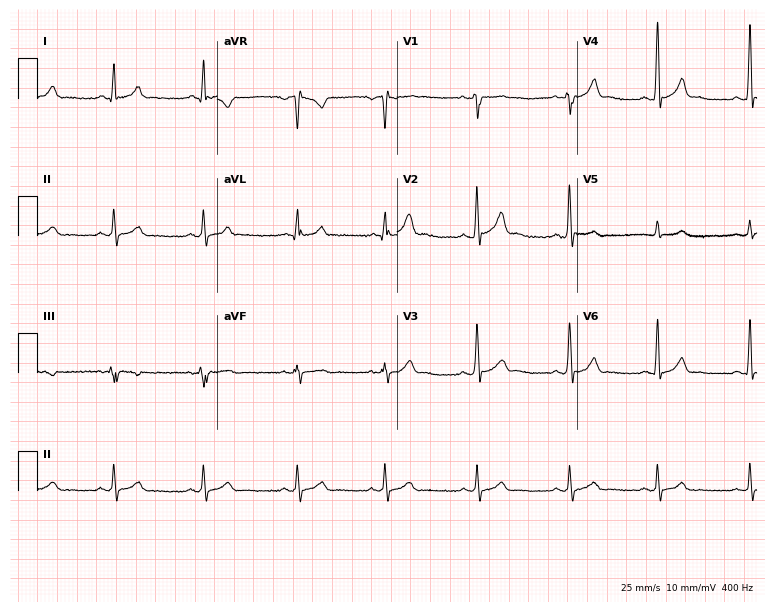
Resting 12-lead electrocardiogram. Patient: a 26-year-old male. Read as a normal ECG.